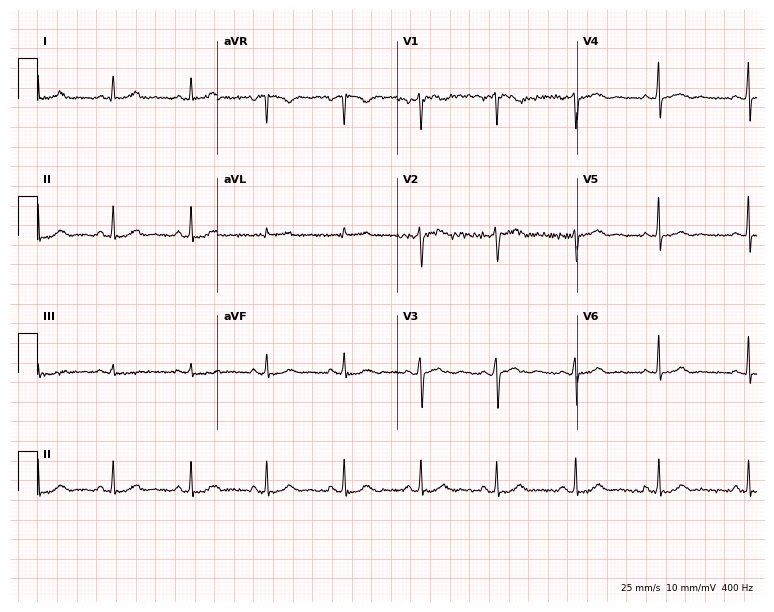
12-lead ECG (7.3-second recording at 400 Hz) from a female patient, 38 years old. Screened for six findings — first-degree AV block, right bundle branch block, left bundle branch block, sinus bradycardia, atrial fibrillation, sinus tachycardia — none is recorded.